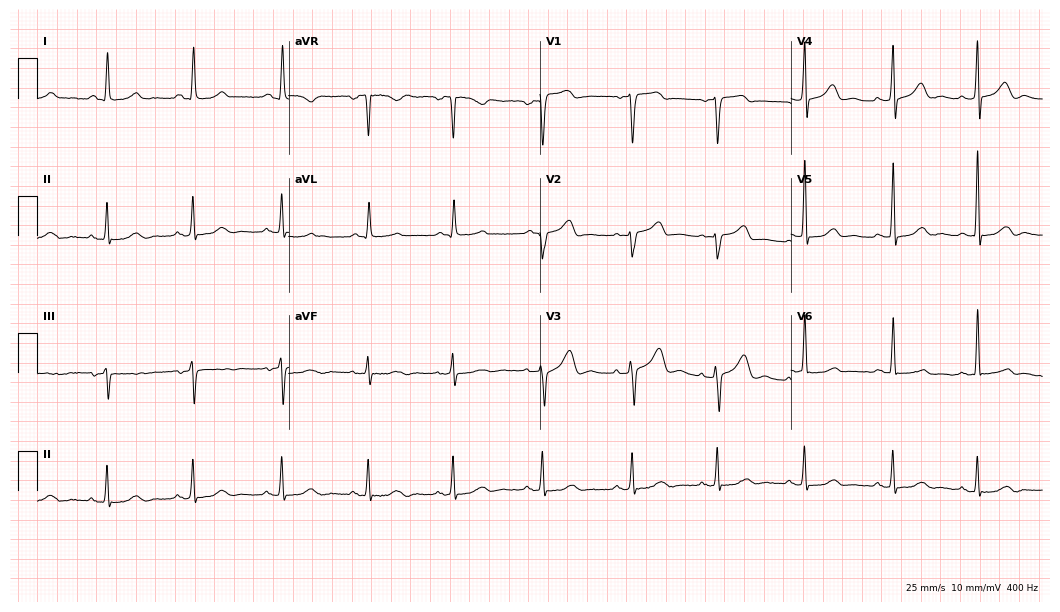
12-lead ECG (10.2-second recording at 400 Hz) from a female patient, 66 years old. Labelled as a normal ECG.